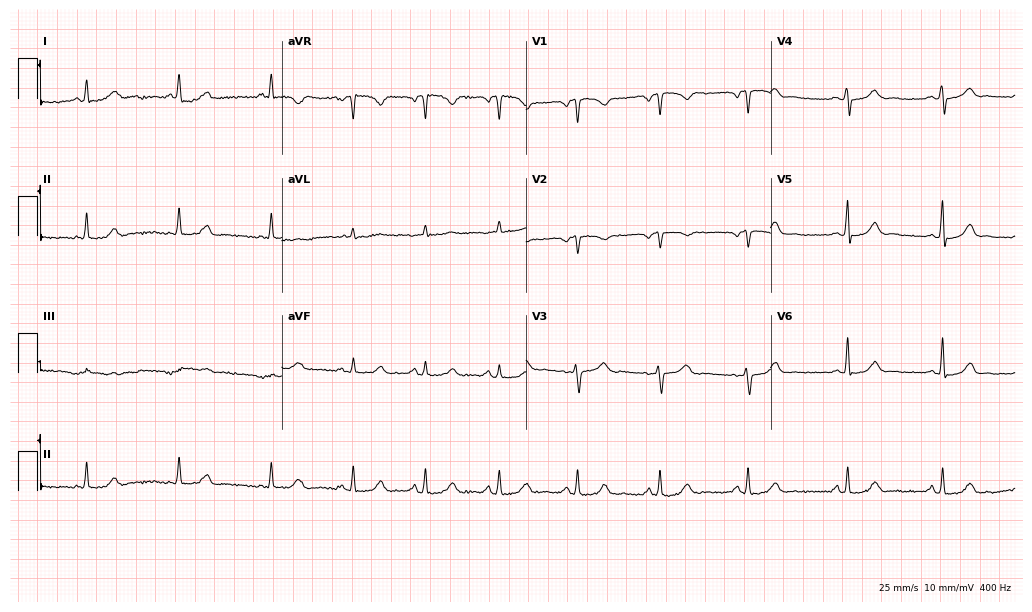
12-lead ECG from a 36-year-old female patient (10-second recording at 400 Hz). Recorded interpretation: within normal limits.